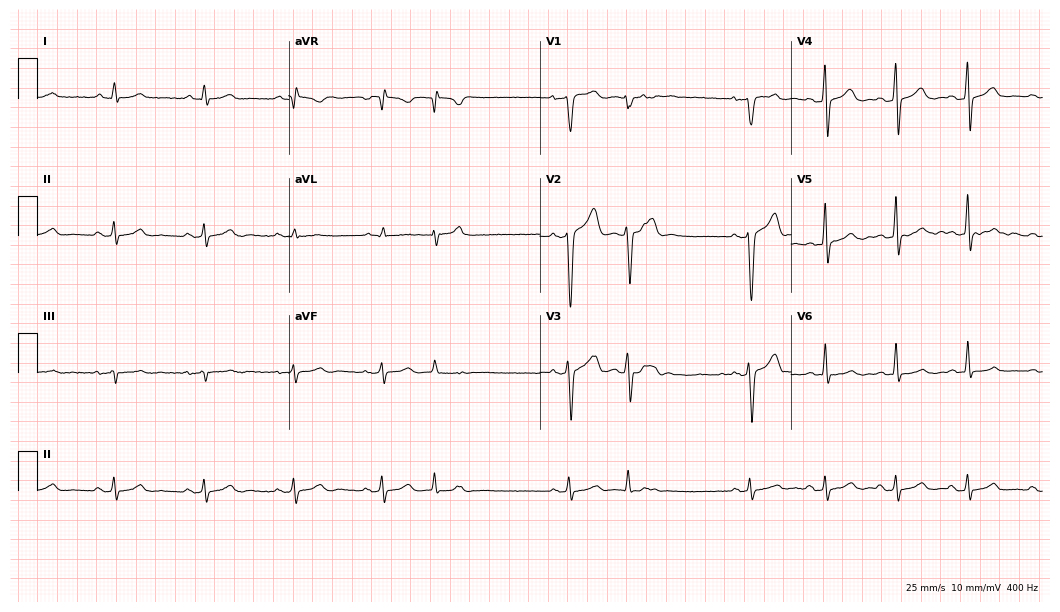
ECG — a 33-year-old male. Screened for six findings — first-degree AV block, right bundle branch block, left bundle branch block, sinus bradycardia, atrial fibrillation, sinus tachycardia — none is recorded.